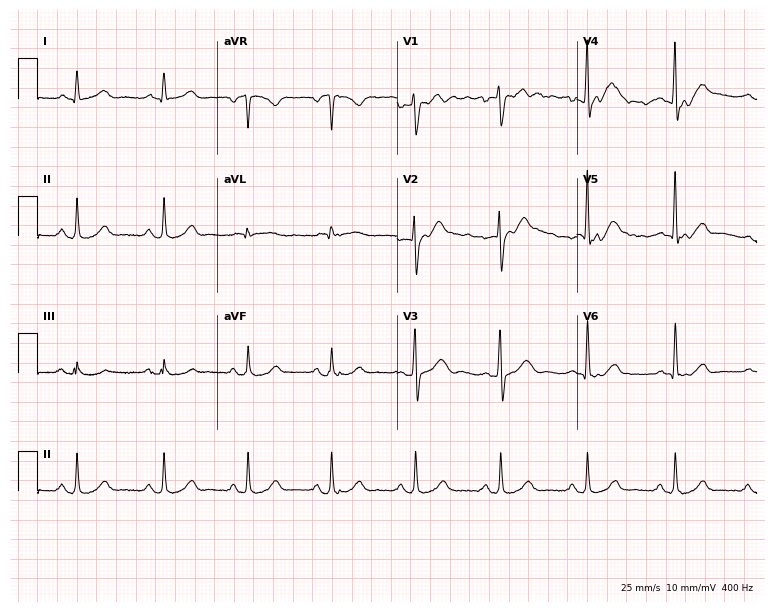
12-lead ECG from a male, 56 years old. Labelled as a normal ECG.